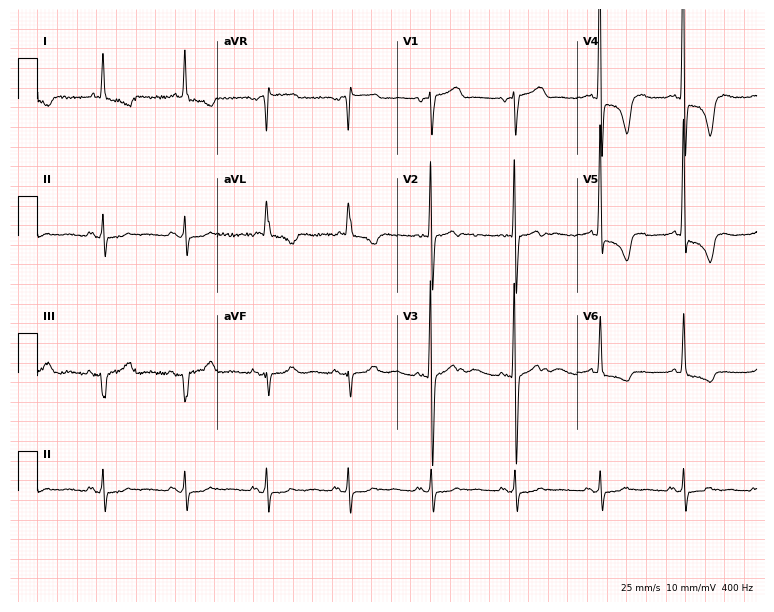
Standard 12-lead ECG recorded from a 72-year-old female. None of these six findings is recorded: first-degree AV block, right bundle branch block, left bundle branch block, sinus bradycardia, atrial fibrillation, sinus tachycardia. Findings outside these six are not listed.